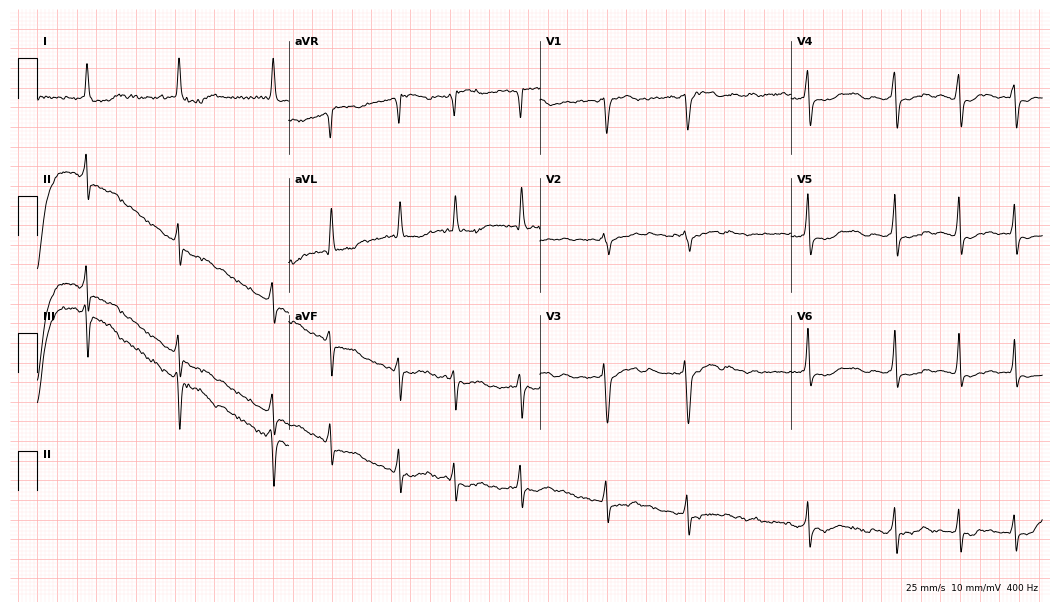
12-lead ECG (10.2-second recording at 400 Hz) from a female patient, 73 years old. Findings include atrial fibrillation (AF).